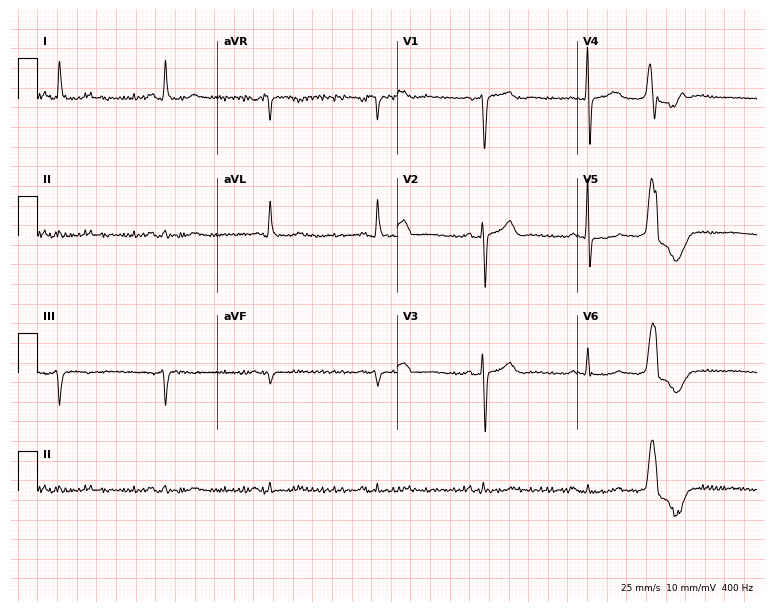
Standard 12-lead ECG recorded from a male, 75 years old (7.3-second recording at 400 Hz). Read as a normal ECG.